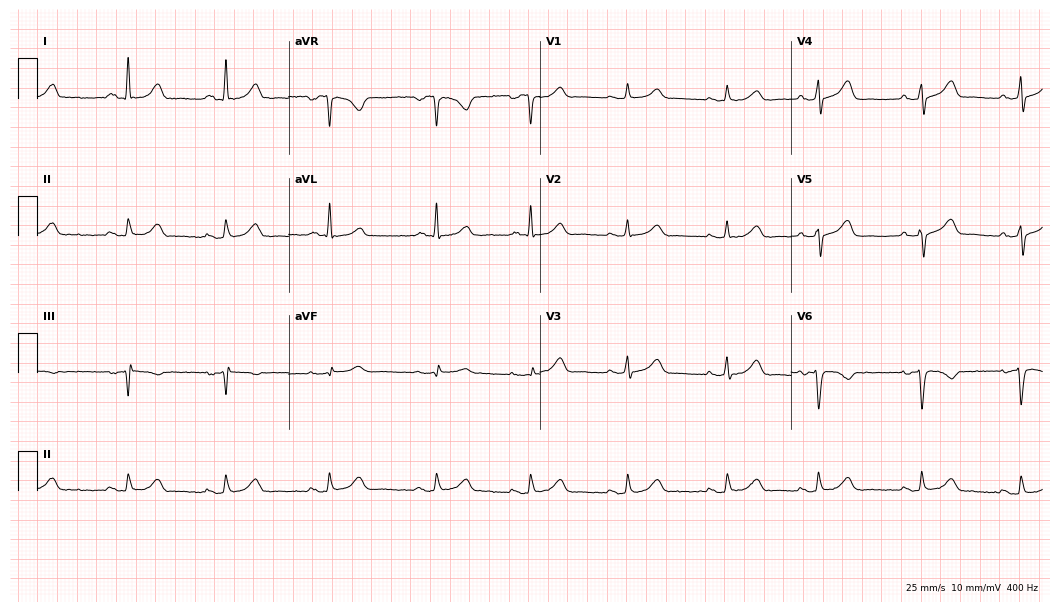
12-lead ECG from a 37-year-old female (10.2-second recording at 400 Hz). No first-degree AV block, right bundle branch block, left bundle branch block, sinus bradycardia, atrial fibrillation or sinus tachycardia recorded for this tracing. Findings outside these six are not listed.